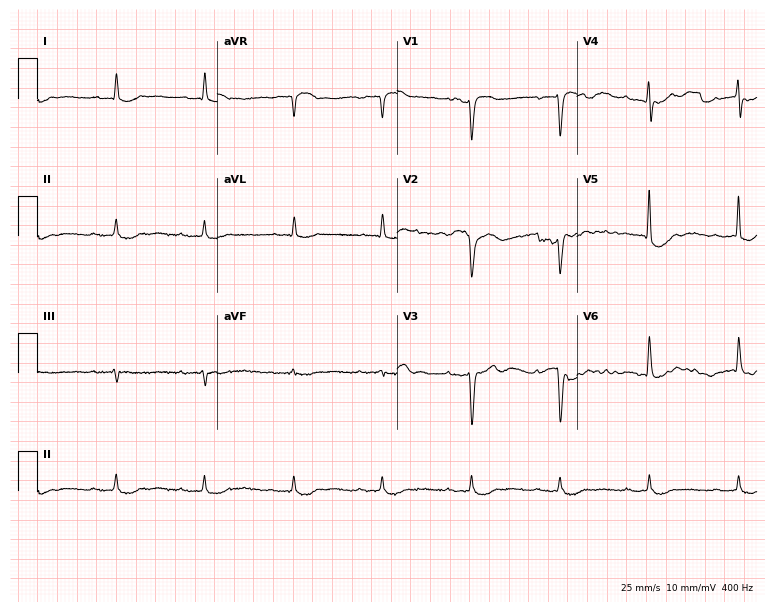
12-lead ECG from a man, 81 years old (7.3-second recording at 400 Hz). No first-degree AV block, right bundle branch block, left bundle branch block, sinus bradycardia, atrial fibrillation or sinus tachycardia recorded for this tracing. Only these six findings were labelled.